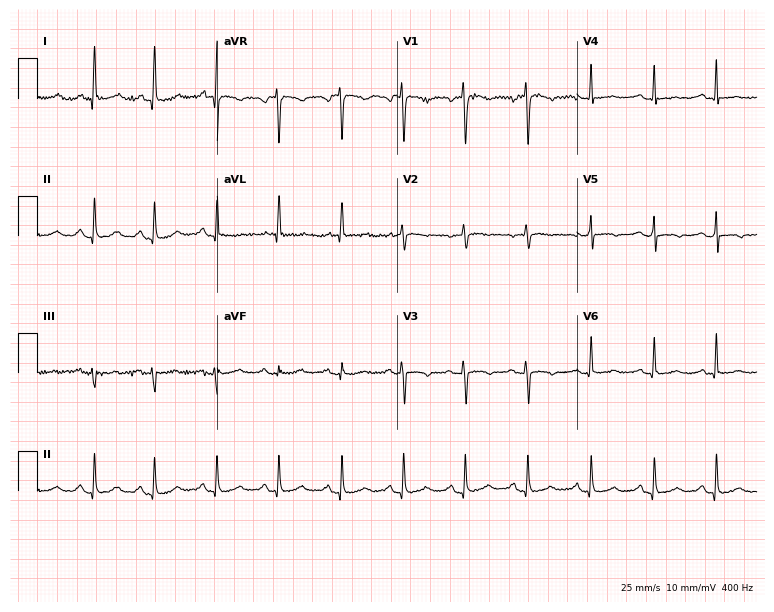
12-lead ECG from a 62-year-old male patient (7.3-second recording at 400 Hz). No first-degree AV block, right bundle branch block (RBBB), left bundle branch block (LBBB), sinus bradycardia, atrial fibrillation (AF) or sinus tachycardia recorded for this tracing.